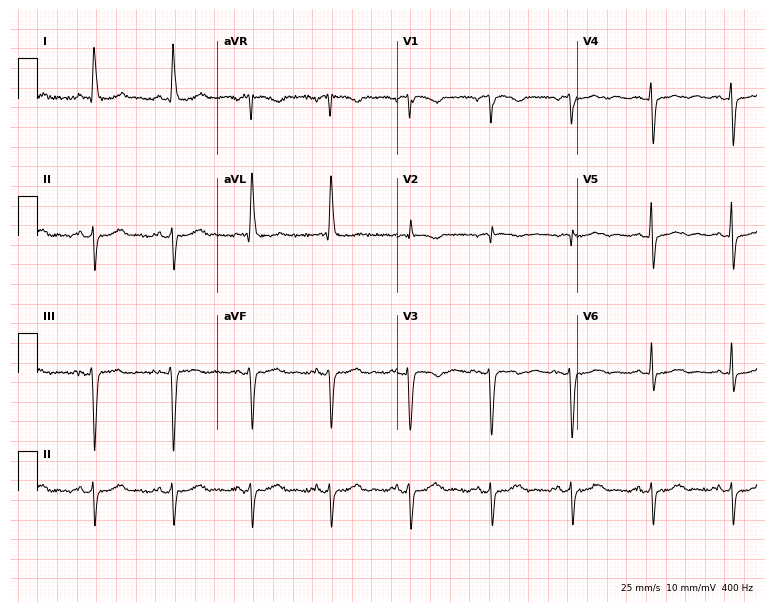
Standard 12-lead ECG recorded from a 79-year-old female (7.3-second recording at 400 Hz). None of these six findings is recorded: first-degree AV block, right bundle branch block, left bundle branch block, sinus bradycardia, atrial fibrillation, sinus tachycardia. Findings outside these six are not listed.